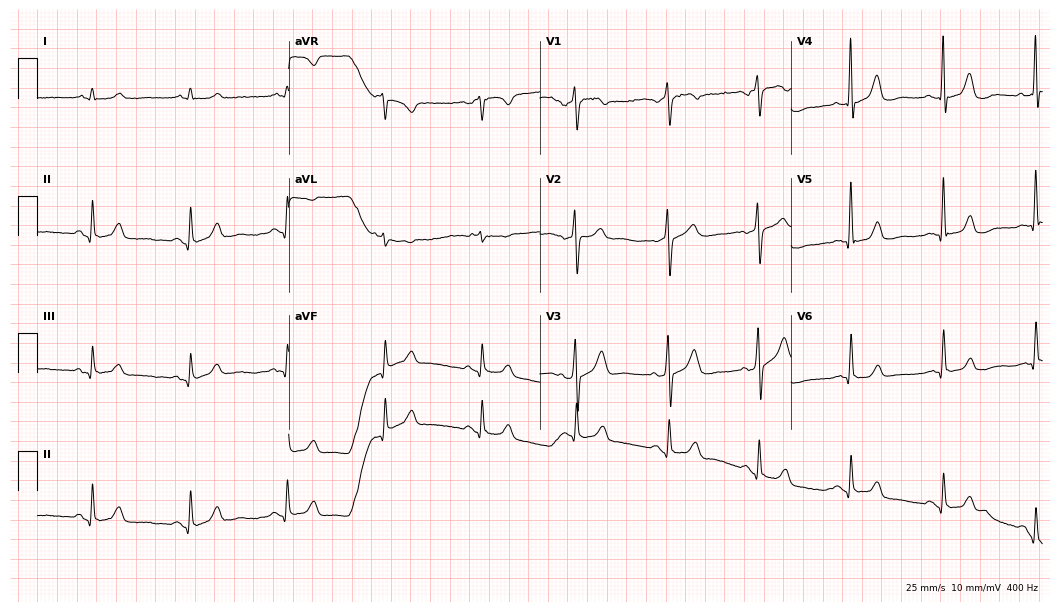
ECG (10.2-second recording at 400 Hz) — a man, 81 years old. Labelled as a normal ECG.